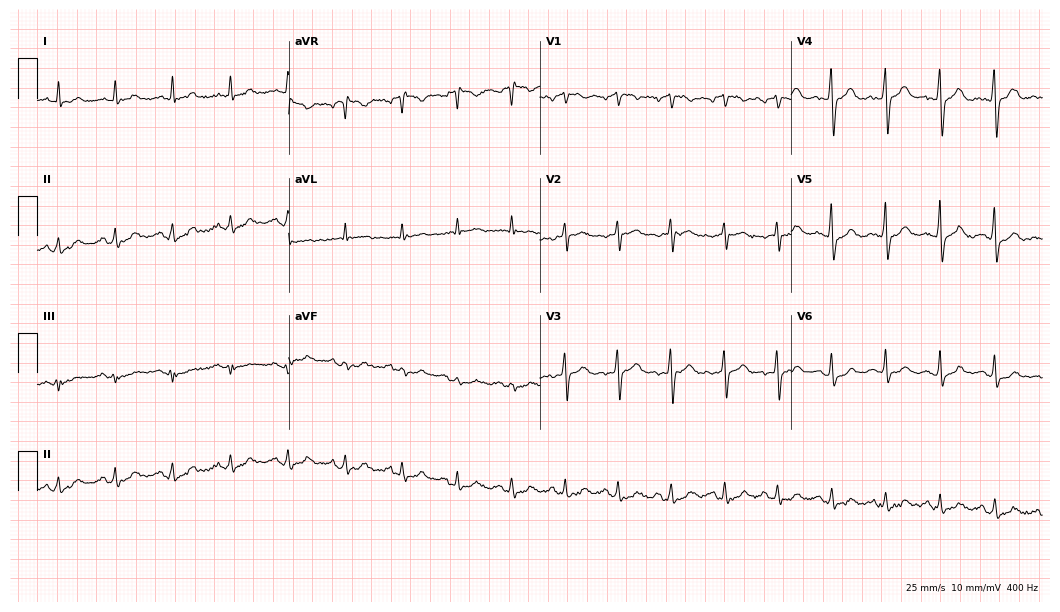
ECG (10.2-second recording at 400 Hz) — a 46-year-old male patient. Screened for six findings — first-degree AV block, right bundle branch block, left bundle branch block, sinus bradycardia, atrial fibrillation, sinus tachycardia — none is recorded.